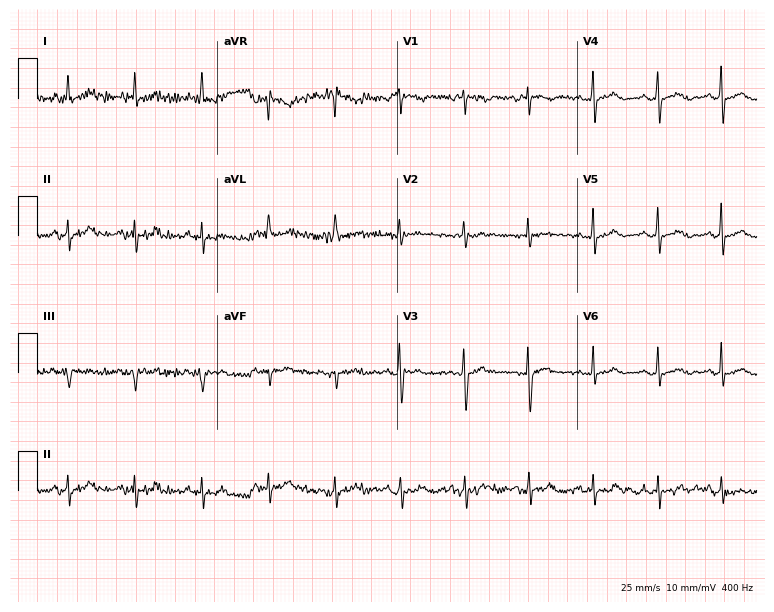
ECG — a 70-year-old female. Screened for six findings — first-degree AV block, right bundle branch block (RBBB), left bundle branch block (LBBB), sinus bradycardia, atrial fibrillation (AF), sinus tachycardia — none is recorded. Only these six findings were labelled.